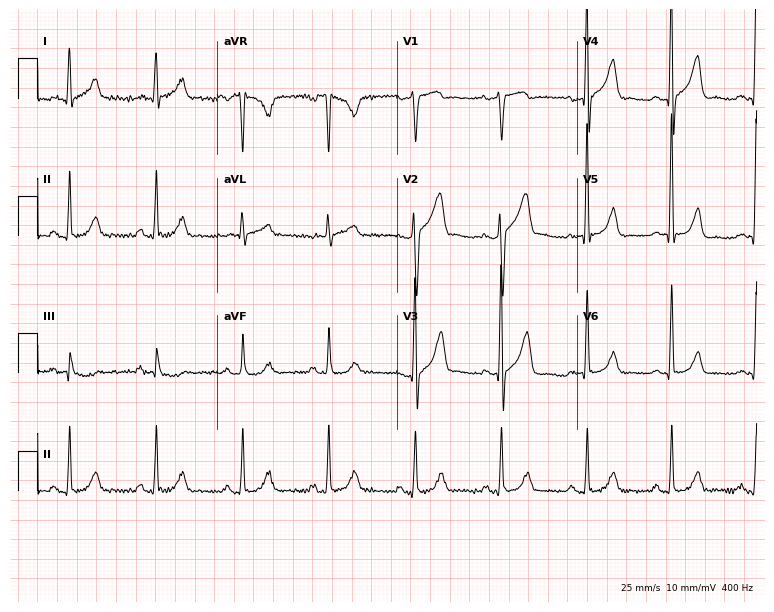
Electrocardiogram (7.3-second recording at 400 Hz), a male, 65 years old. Overall reading on record: normal ECG.